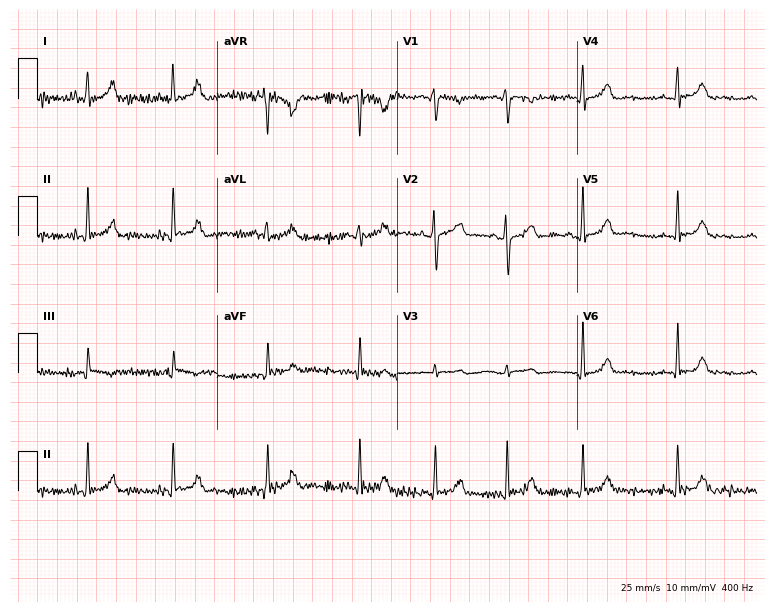
Electrocardiogram (7.3-second recording at 400 Hz), a female, 22 years old. Of the six screened findings (first-degree AV block, right bundle branch block (RBBB), left bundle branch block (LBBB), sinus bradycardia, atrial fibrillation (AF), sinus tachycardia), none is recorded. Only these six findings were labelled.